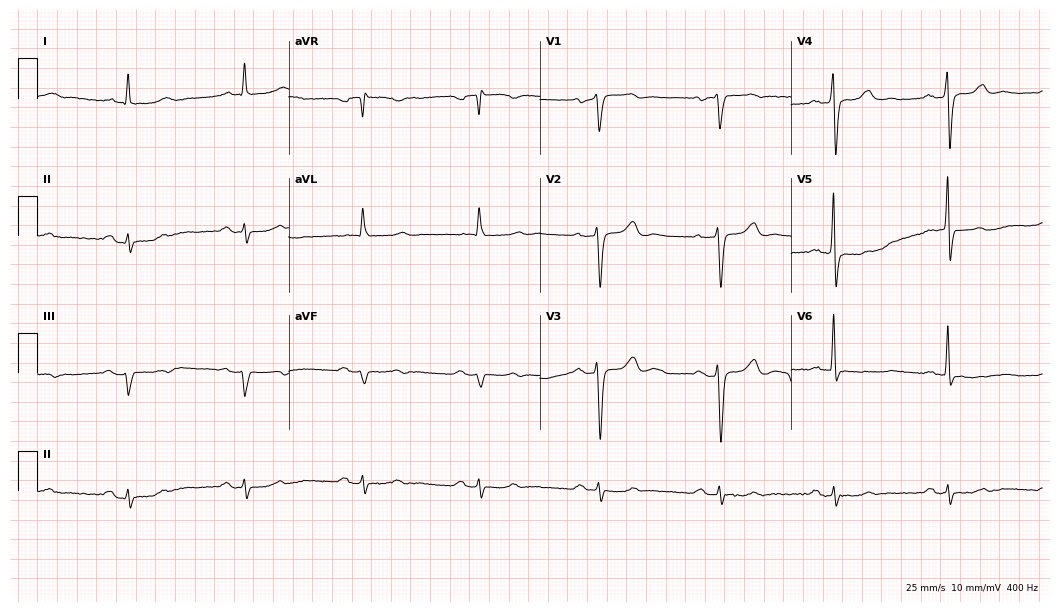
Electrocardiogram, a male patient, 76 years old. Interpretation includes first-degree AV block.